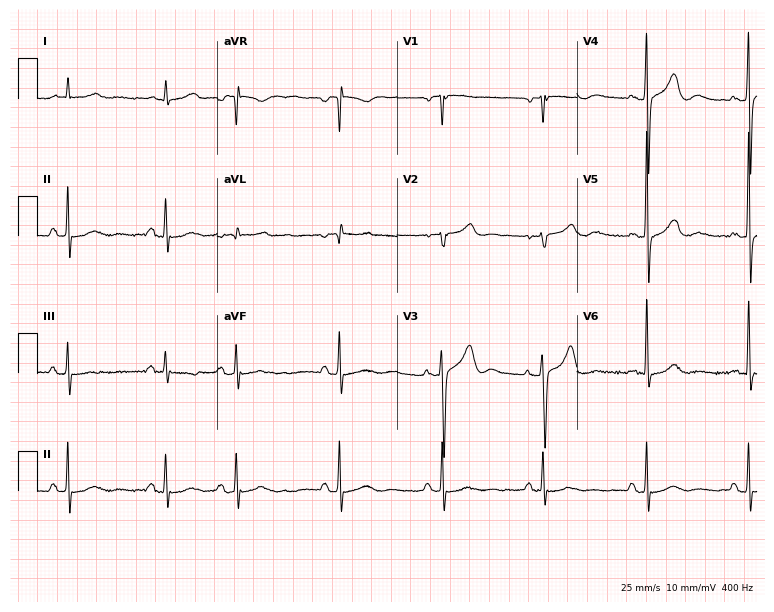
12-lead ECG from a male, 72 years old (7.3-second recording at 400 Hz). No first-degree AV block, right bundle branch block, left bundle branch block, sinus bradycardia, atrial fibrillation or sinus tachycardia recorded for this tracing. Other findings, if any, are not listed.